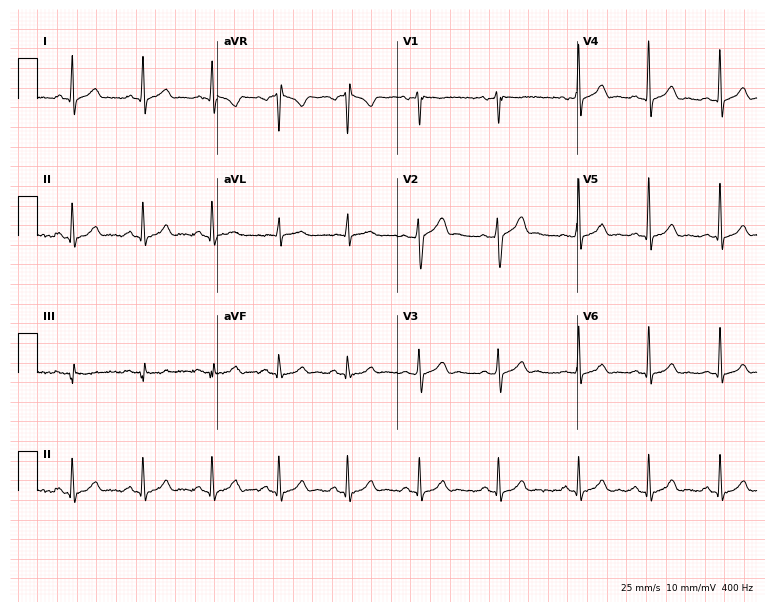
Resting 12-lead electrocardiogram (7.3-second recording at 400 Hz). Patient: a 25-year-old male. Read as a normal ECG.